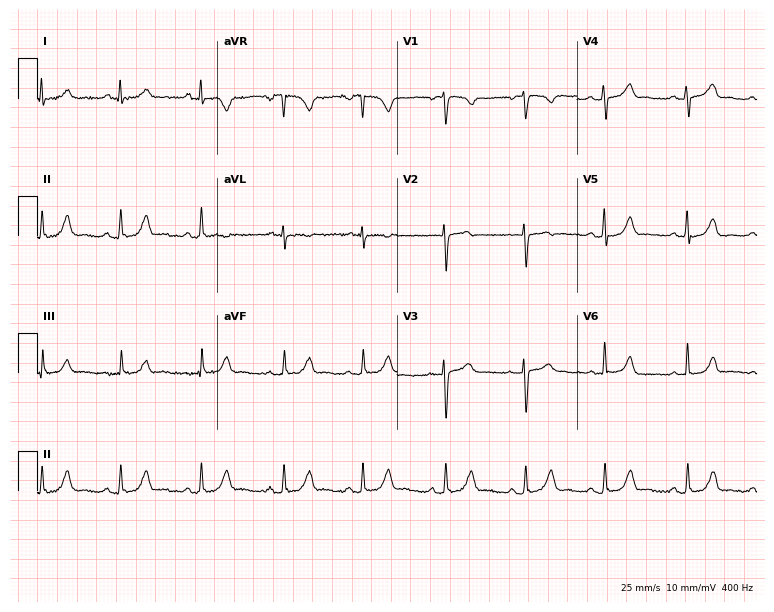
Standard 12-lead ECG recorded from a 29-year-old female (7.3-second recording at 400 Hz). Read as a normal ECG.